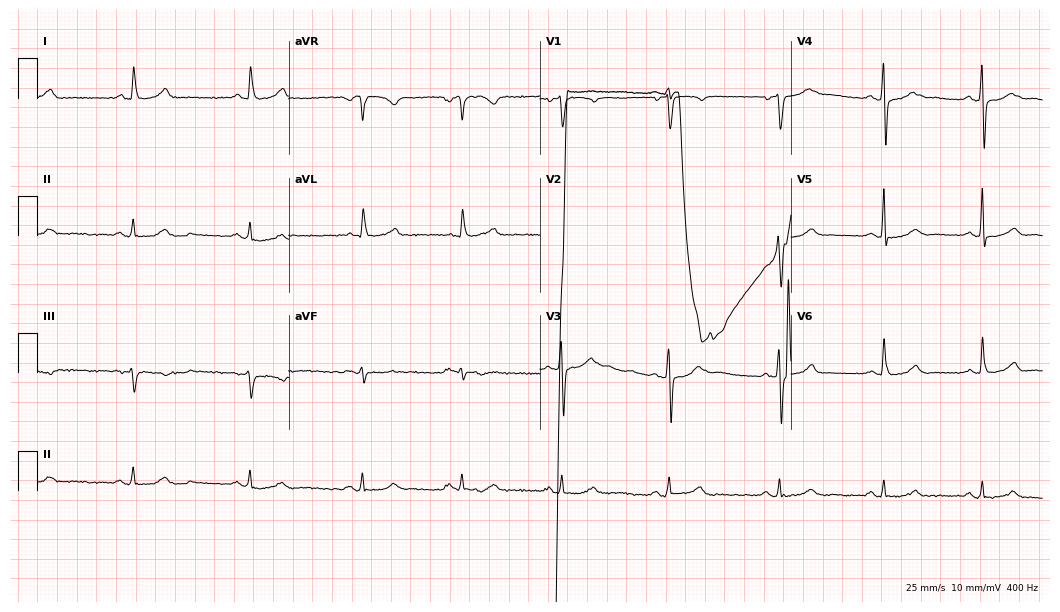
Standard 12-lead ECG recorded from a 60-year-old male (10.2-second recording at 400 Hz). None of these six findings is recorded: first-degree AV block, right bundle branch block (RBBB), left bundle branch block (LBBB), sinus bradycardia, atrial fibrillation (AF), sinus tachycardia. Findings outside these six are not listed.